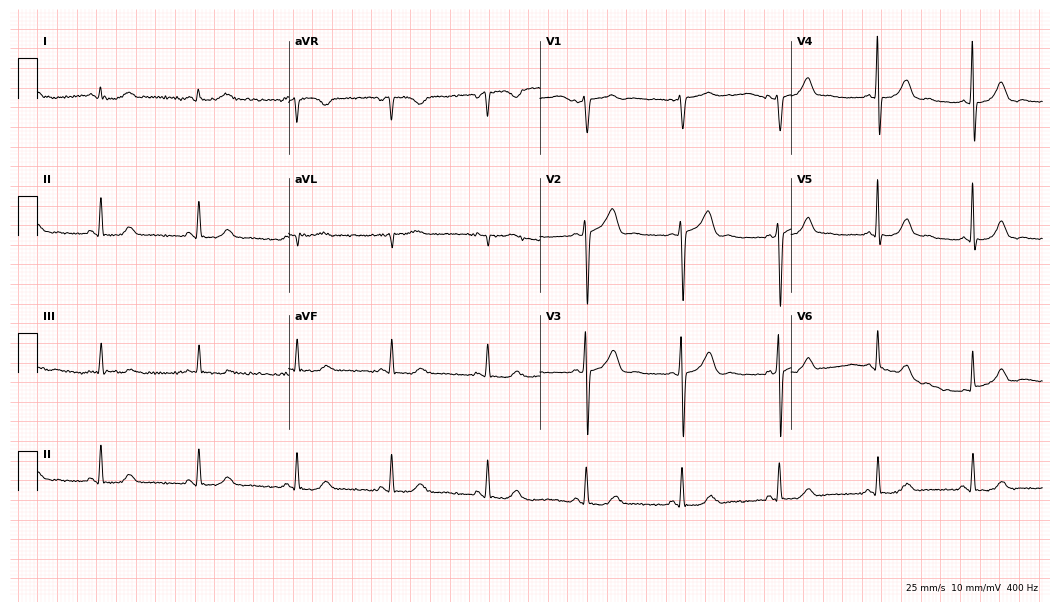
12-lead ECG from a man, 59 years old. No first-degree AV block, right bundle branch block, left bundle branch block, sinus bradycardia, atrial fibrillation or sinus tachycardia recorded for this tracing. Only these six findings were labelled.